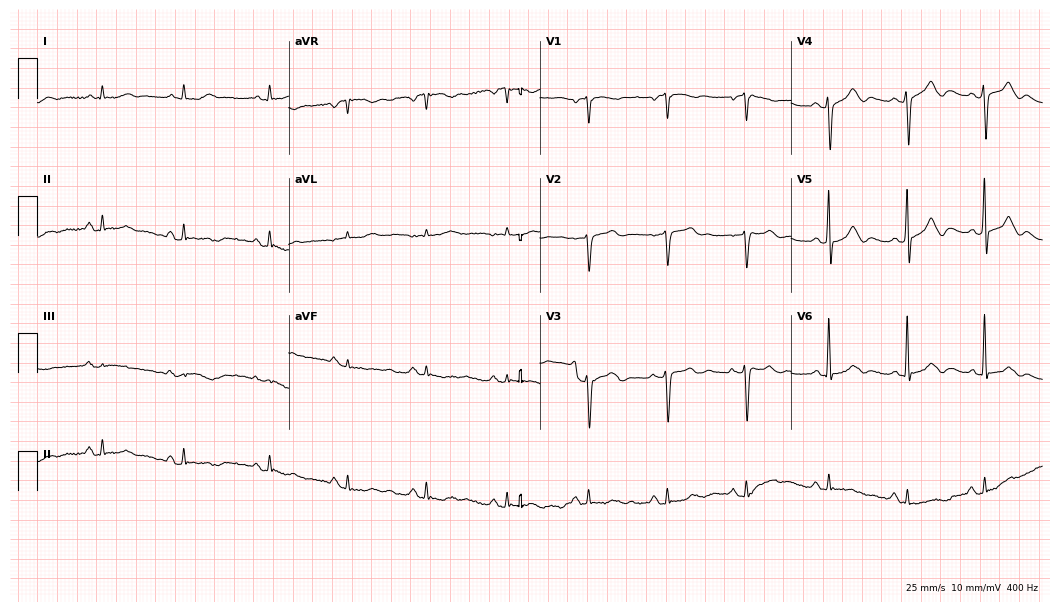
Standard 12-lead ECG recorded from a 79-year-old female (10.2-second recording at 400 Hz). None of these six findings is recorded: first-degree AV block, right bundle branch block, left bundle branch block, sinus bradycardia, atrial fibrillation, sinus tachycardia.